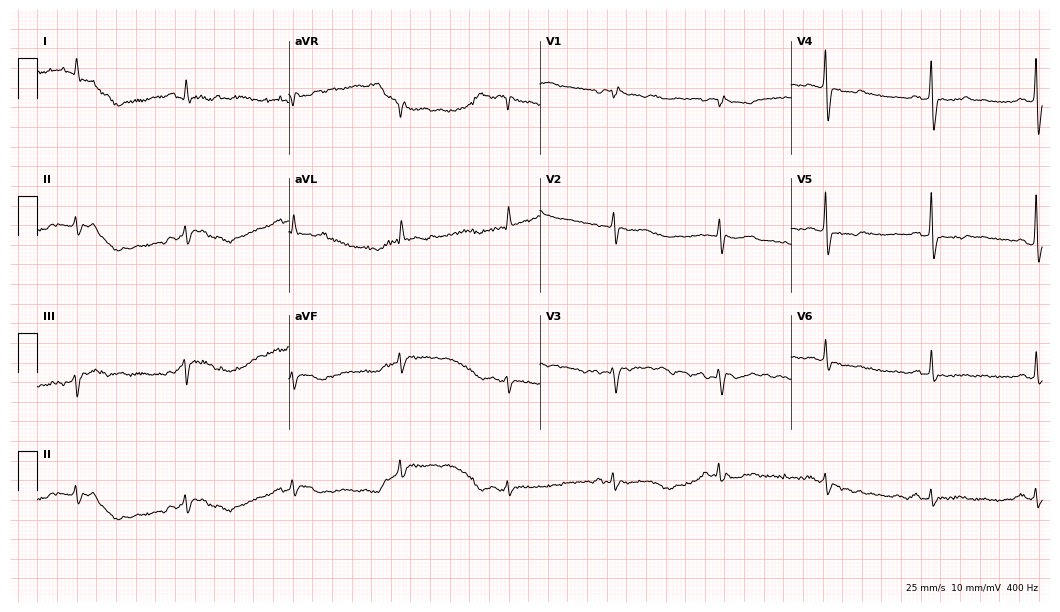
Standard 12-lead ECG recorded from a female patient, 84 years old (10.2-second recording at 400 Hz). None of these six findings is recorded: first-degree AV block, right bundle branch block, left bundle branch block, sinus bradycardia, atrial fibrillation, sinus tachycardia.